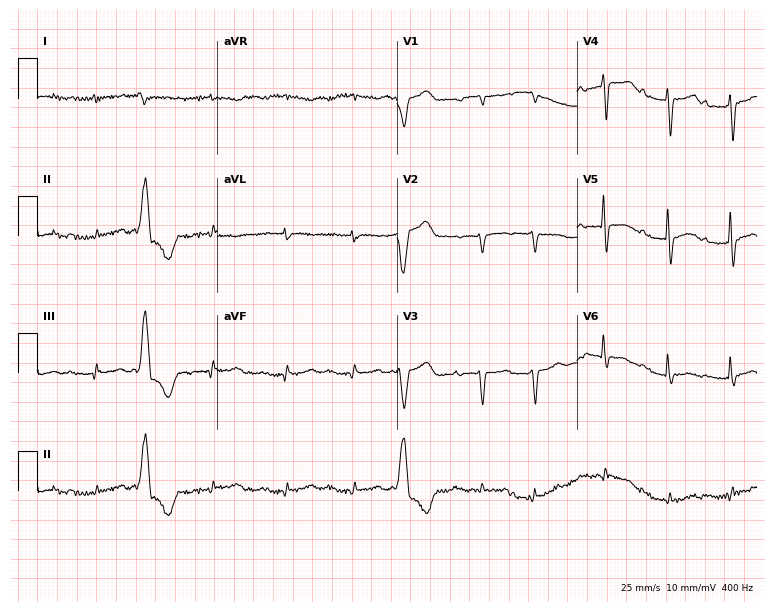
12-lead ECG from a female, 77 years old. No first-degree AV block, right bundle branch block, left bundle branch block, sinus bradycardia, atrial fibrillation or sinus tachycardia recorded for this tracing.